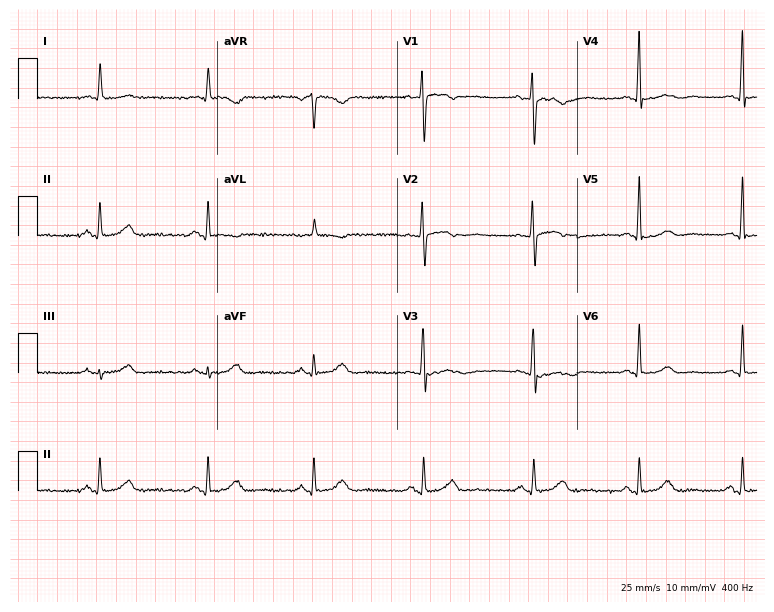
12-lead ECG from a 61-year-old female. No first-degree AV block, right bundle branch block, left bundle branch block, sinus bradycardia, atrial fibrillation or sinus tachycardia recorded for this tracing.